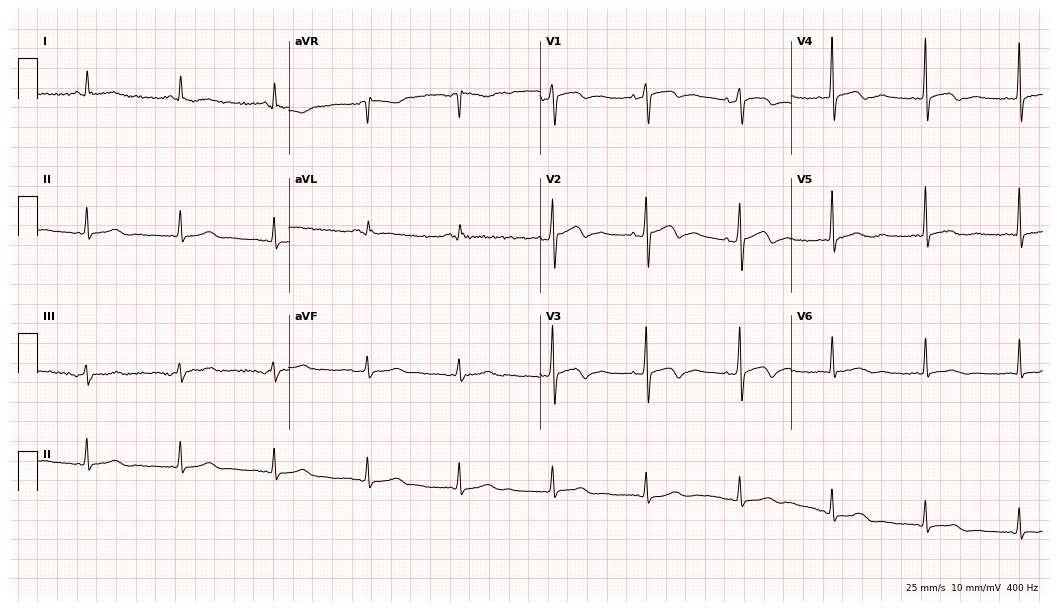
12-lead ECG from a 71-year-old female patient (10.2-second recording at 400 Hz). Recorded interpretation: within normal limits.